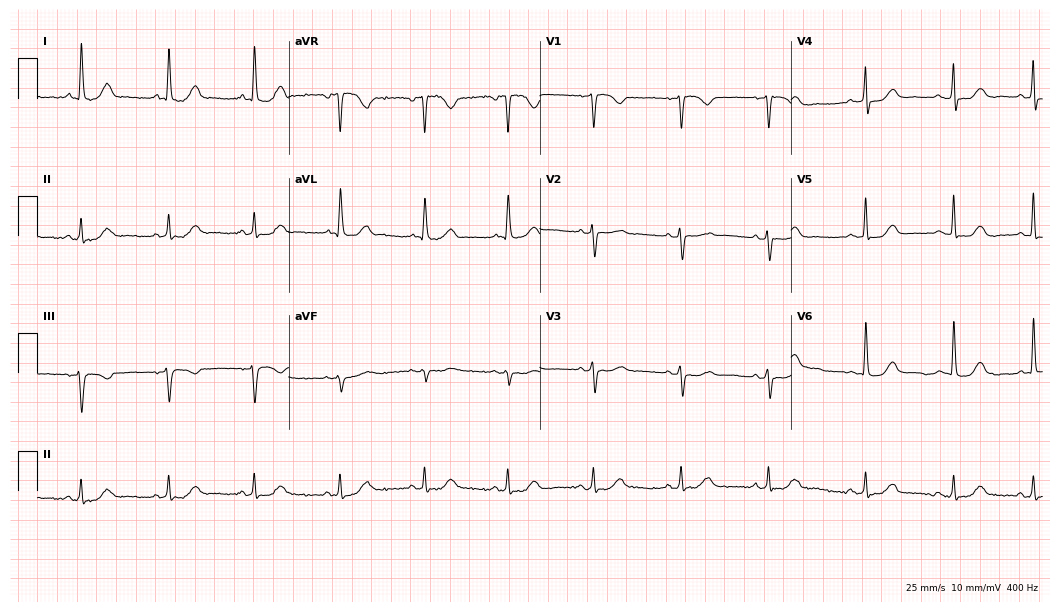
Electrocardiogram, a 65-year-old female patient. Overall reading on record: normal ECG.